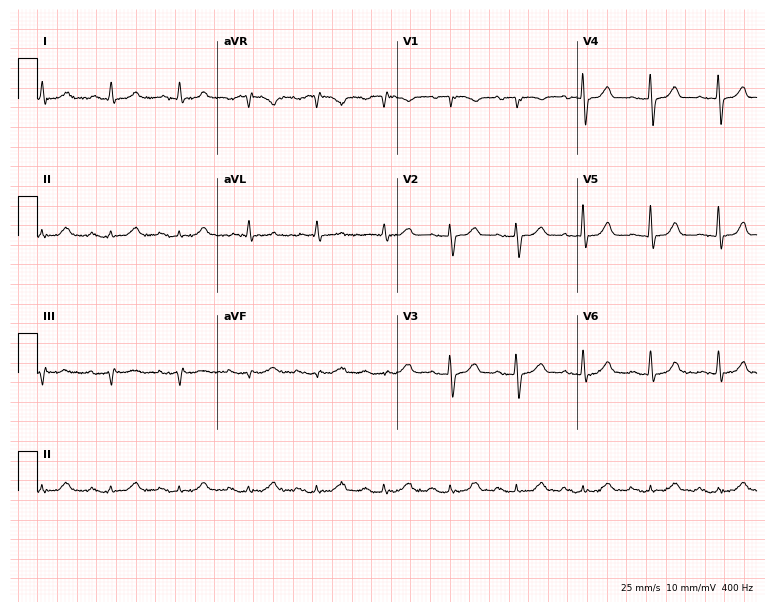
12-lead ECG from a male, 68 years old. No first-degree AV block, right bundle branch block (RBBB), left bundle branch block (LBBB), sinus bradycardia, atrial fibrillation (AF) or sinus tachycardia recorded for this tracing. Other findings, if any, are not listed.